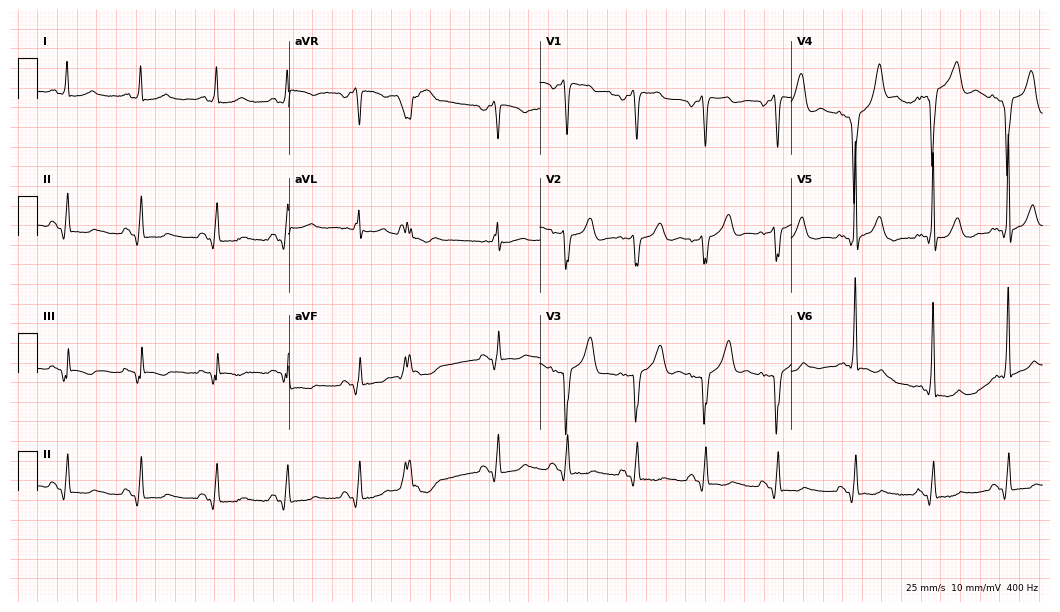
Electrocardiogram (10.2-second recording at 400 Hz), a 60-year-old male. Of the six screened findings (first-degree AV block, right bundle branch block, left bundle branch block, sinus bradycardia, atrial fibrillation, sinus tachycardia), none is recorded.